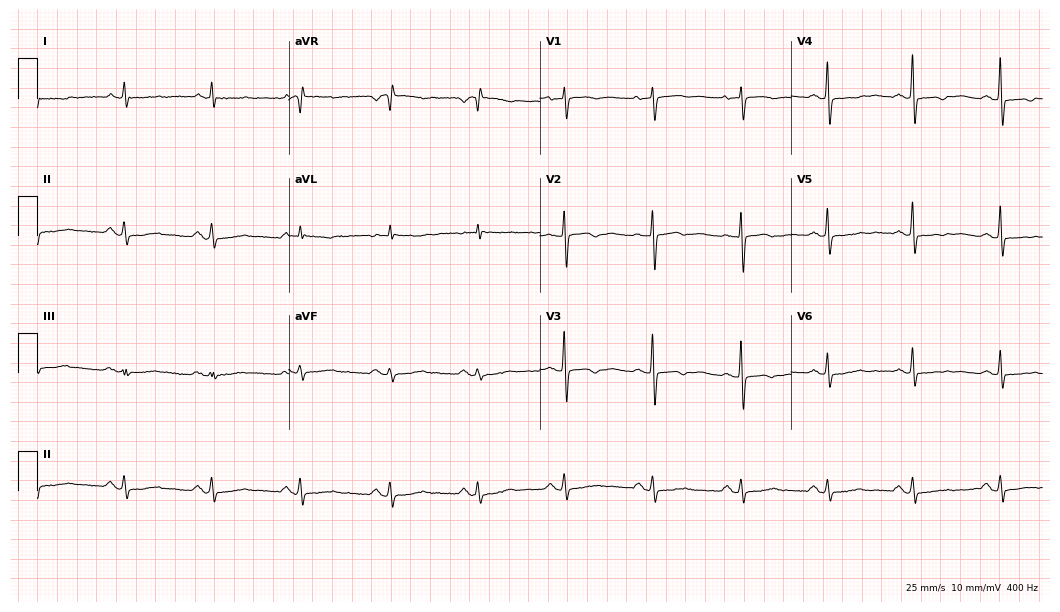
Standard 12-lead ECG recorded from a female, 72 years old (10.2-second recording at 400 Hz). None of these six findings is recorded: first-degree AV block, right bundle branch block (RBBB), left bundle branch block (LBBB), sinus bradycardia, atrial fibrillation (AF), sinus tachycardia. Only these six findings were labelled.